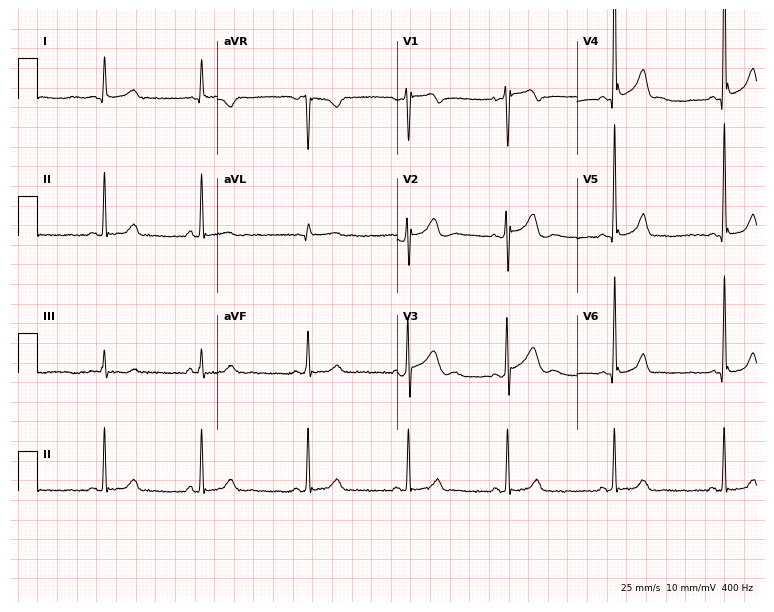
Electrocardiogram, a 20-year-old man. Overall reading on record: normal ECG.